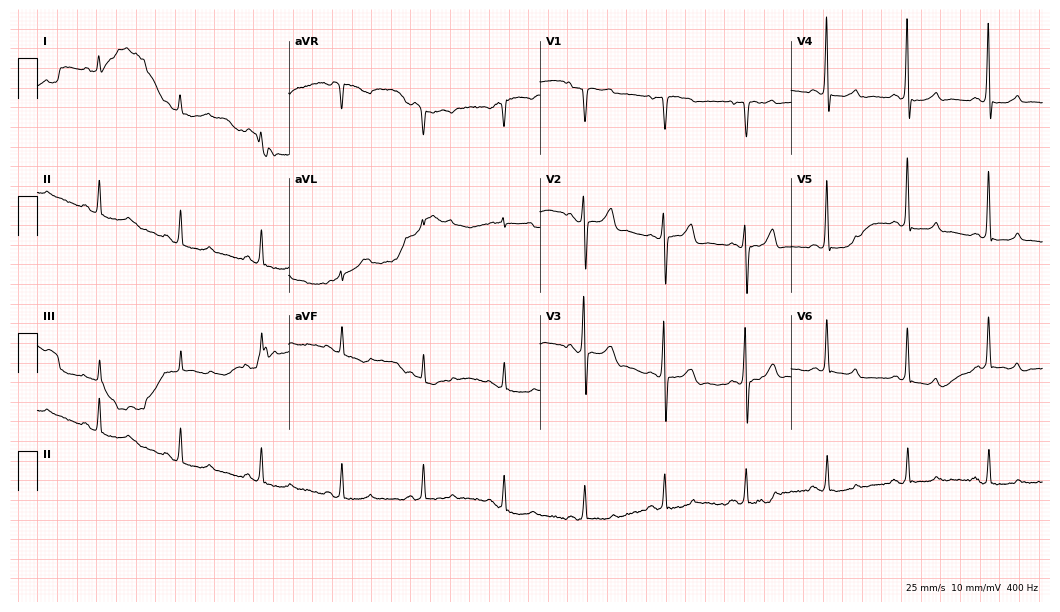
Standard 12-lead ECG recorded from a male patient, 85 years old. None of these six findings is recorded: first-degree AV block, right bundle branch block (RBBB), left bundle branch block (LBBB), sinus bradycardia, atrial fibrillation (AF), sinus tachycardia. Only these six findings were labelled.